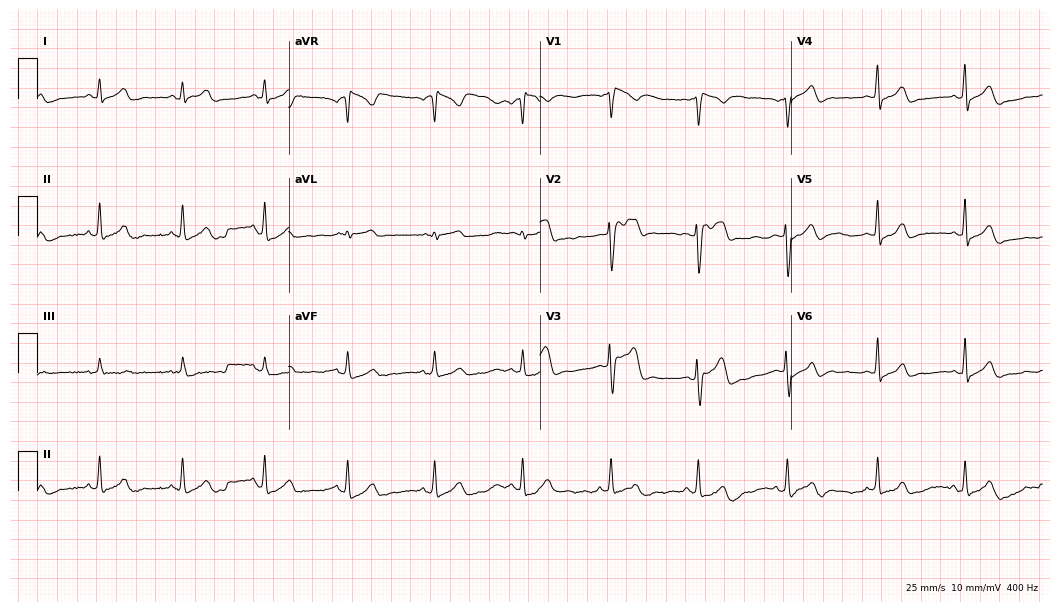
Electrocardiogram (10.2-second recording at 400 Hz), a 39-year-old female patient. Of the six screened findings (first-degree AV block, right bundle branch block (RBBB), left bundle branch block (LBBB), sinus bradycardia, atrial fibrillation (AF), sinus tachycardia), none is recorded.